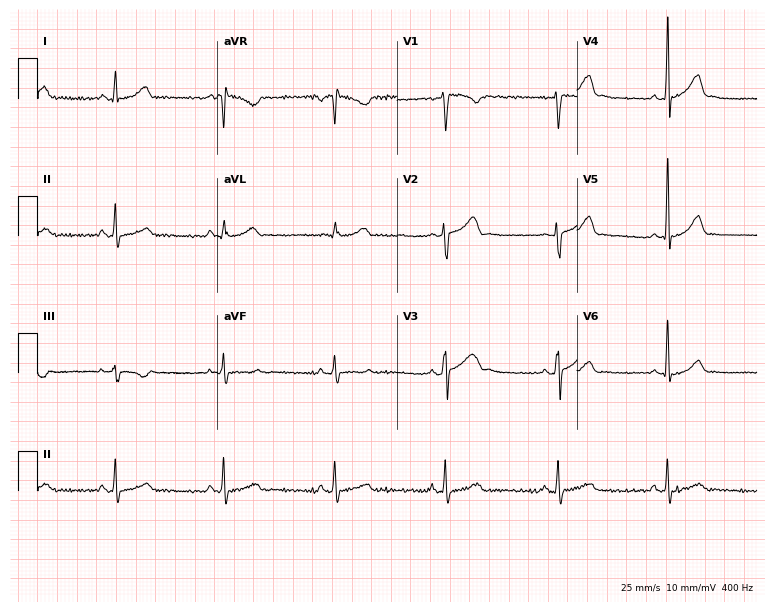
12-lead ECG from a 36-year-old female (7.3-second recording at 400 Hz). Recorded interpretation: within normal limits.